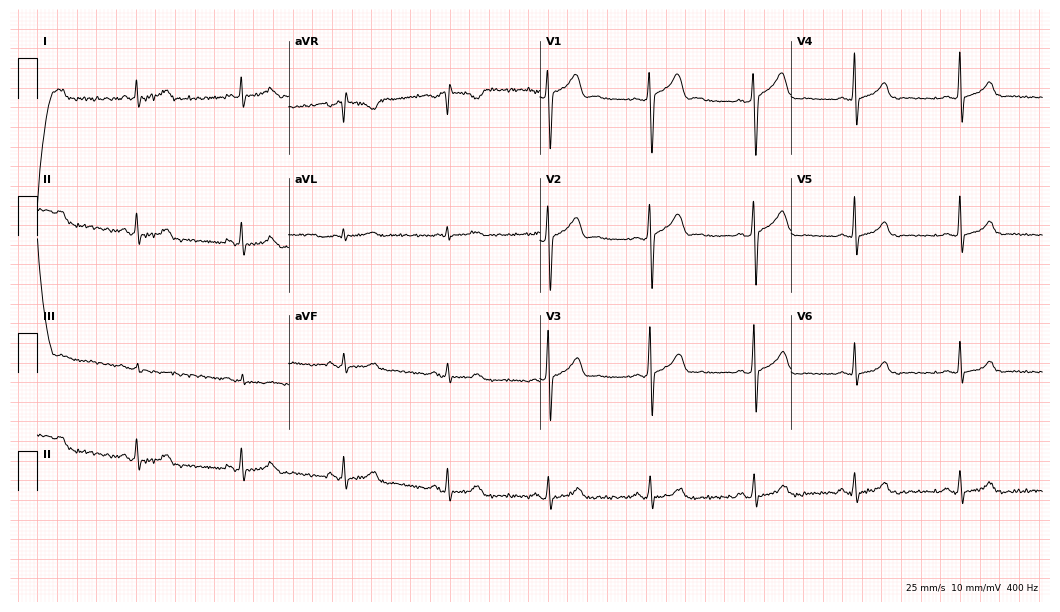
12-lead ECG from a female, 40 years old (10.2-second recording at 400 Hz). No first-degree AV block, right bundle branch block, left bundle branch block, sinus bradycardia, atrial fibrillation or sinus tachycardia recorded for this tracing.